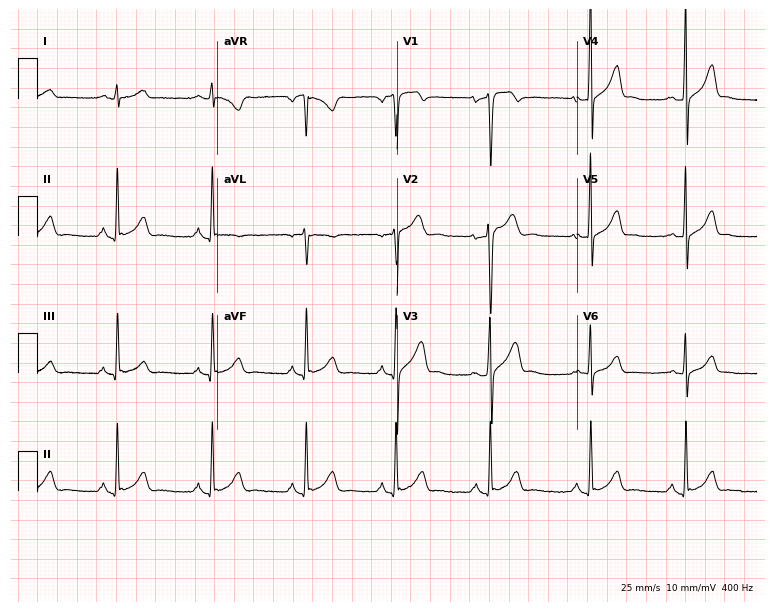
ECG — a 20-year-old male patient. Labelled as a normal ECG.